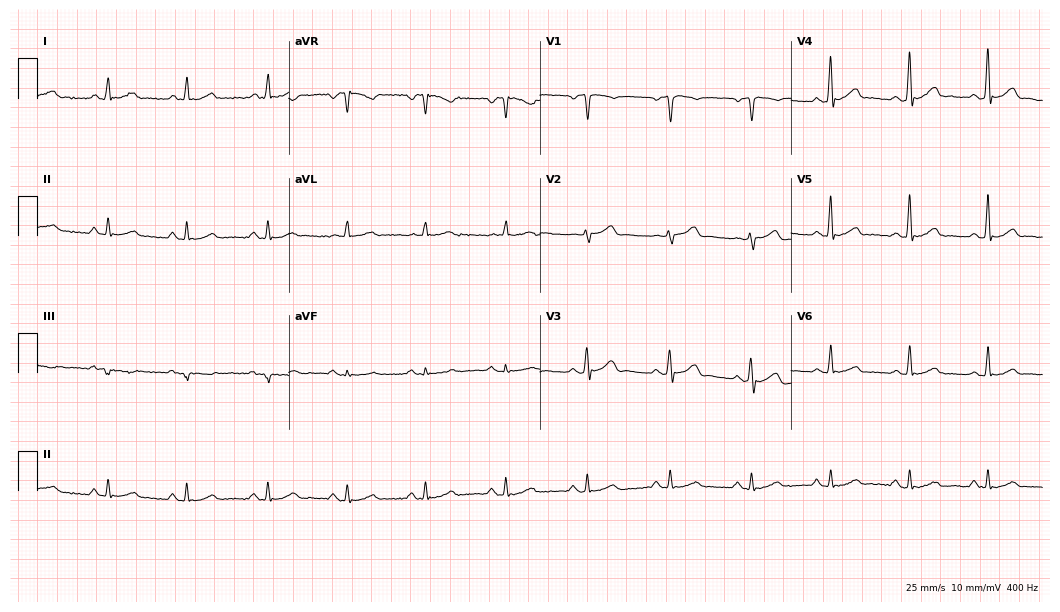
12-lead ECG (10.2-second recording at 400 Hz) from a 57-year-old male. Labelled as a normal ECG.